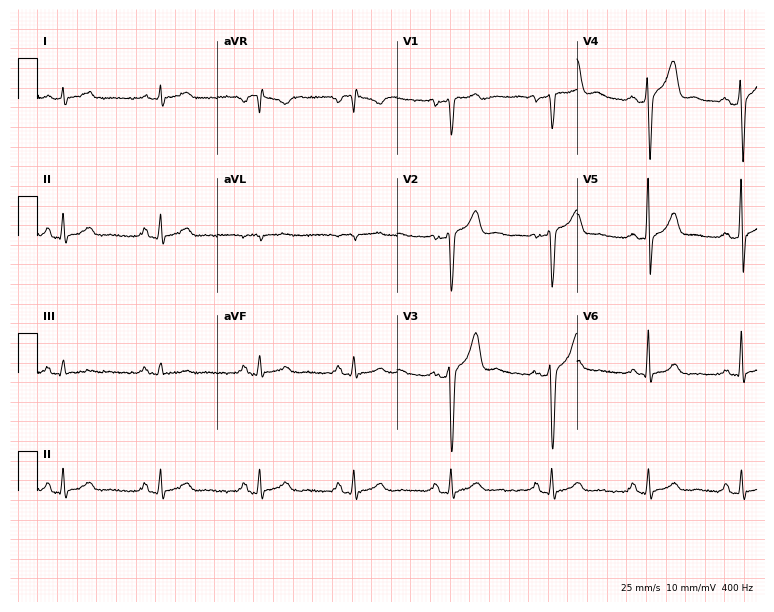
Electrocardiogram (7.3-second recording at 400 Hz), a 46-year-old man. Overall reading on record: normal ECG.